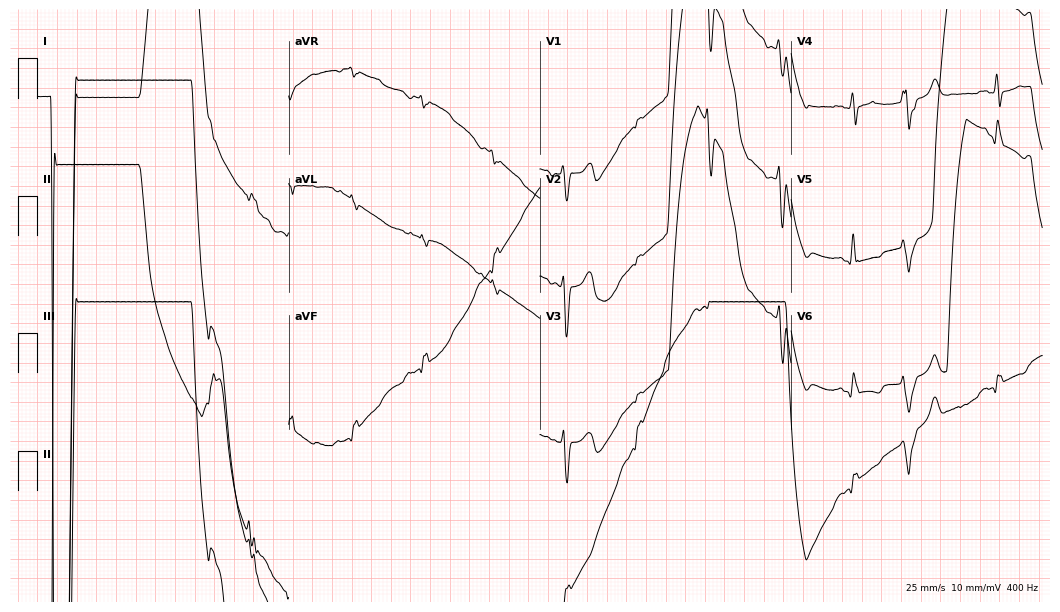
12-lead ECG from a 63-year-old male patient (10.2-second recording at 400 Hz). No first-degree AV block, right bundle branch block, left bundle branch block, sinus bradycardia, atrial fibrillation or sinus tachycardia recorded for this tracing.